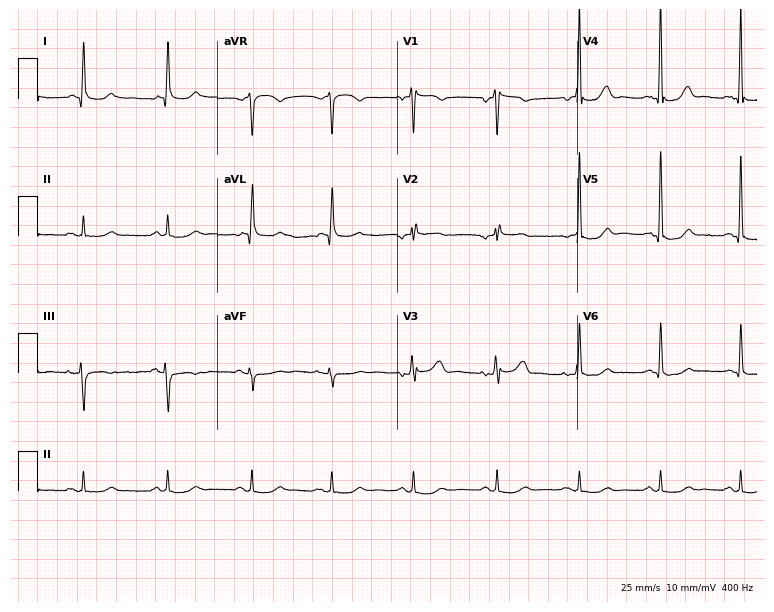
Resting 12-lead electrocardiogram. Patient: a female, 71 years old. Read as a normal ECG.